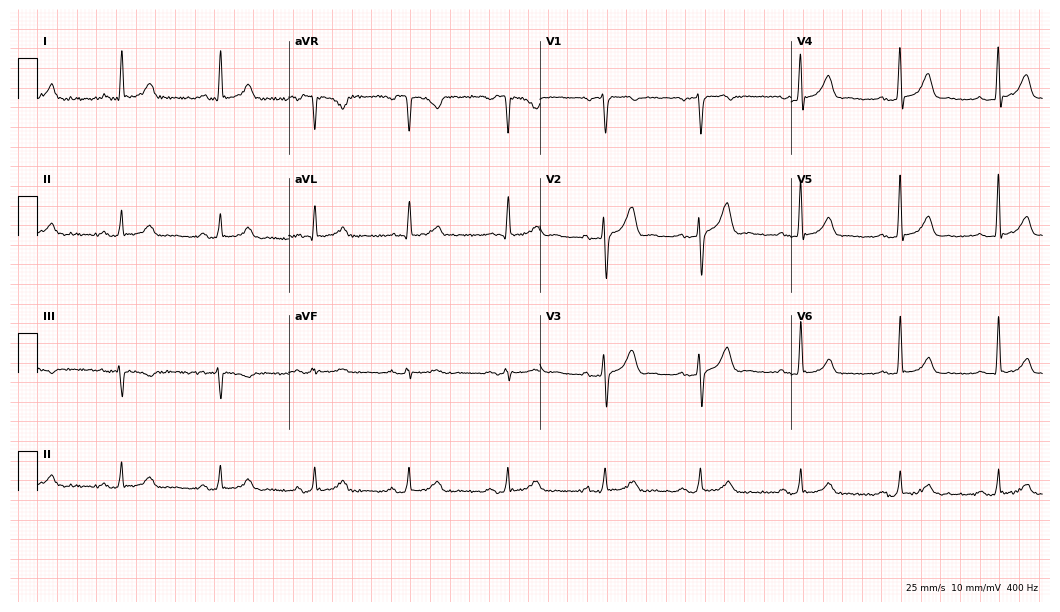
ECG (10.2-second recording at 400 Hz) — a 53-year-old man. Labelled as a normal ECG.